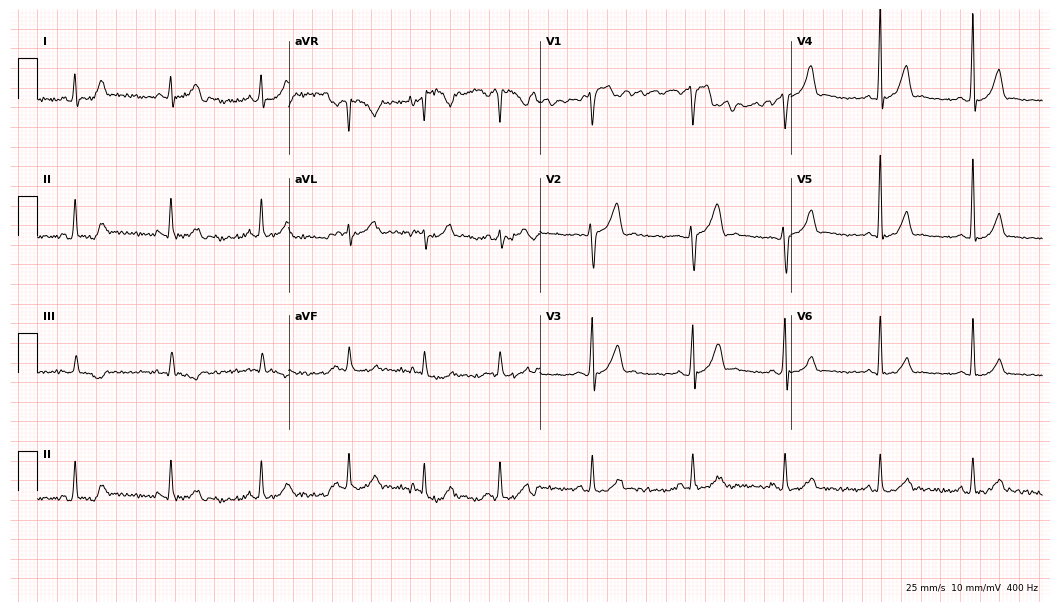
12-lead ECG from a 29-year-old male (10.2-second recording at 400 Hz). No first-degree AV block, right bundle branch block (RBBB), left bundle branch block (LBBB), sinus bradycardia, atrial fibrillation (AF) or sinus tachycardia recorded for this tracing. Only these six findings were labelled.